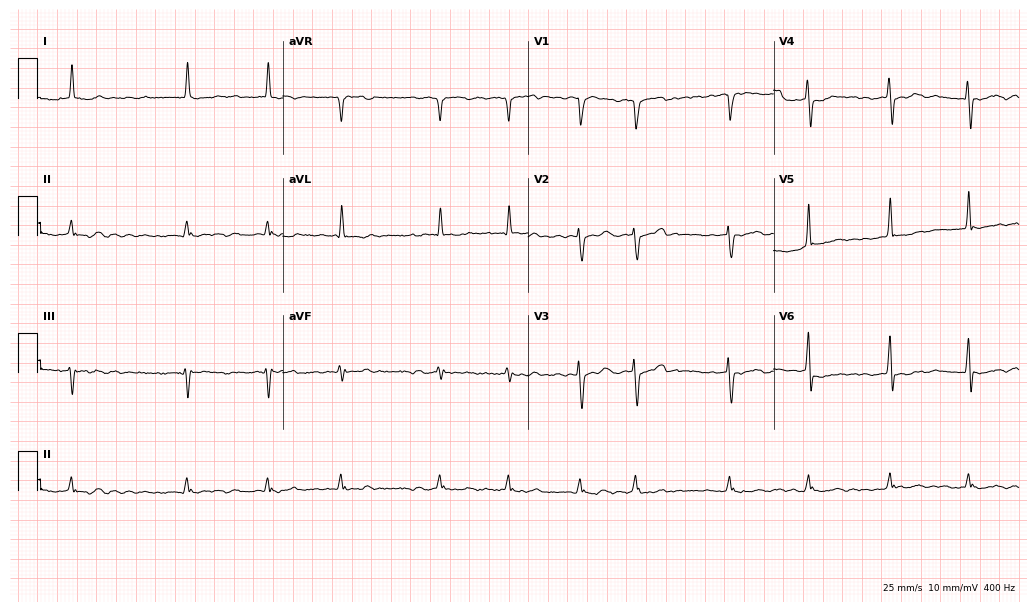
12-lead ECG (10-second recording at 400 Hz) from a 62-year-old male patient. Findings include atrial fibrillation (AF).